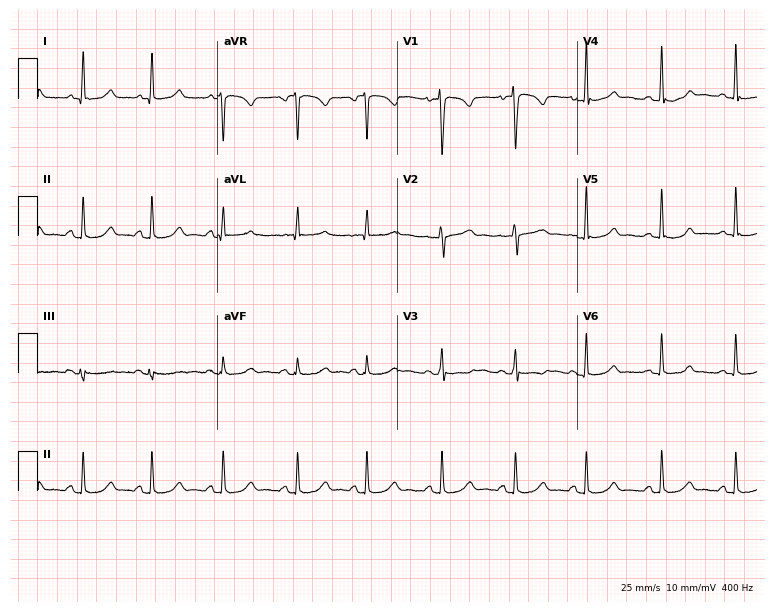
Resting 12-lead electrocardiogram. Patient: a 26-year-old woman. Read as a normal ECG.